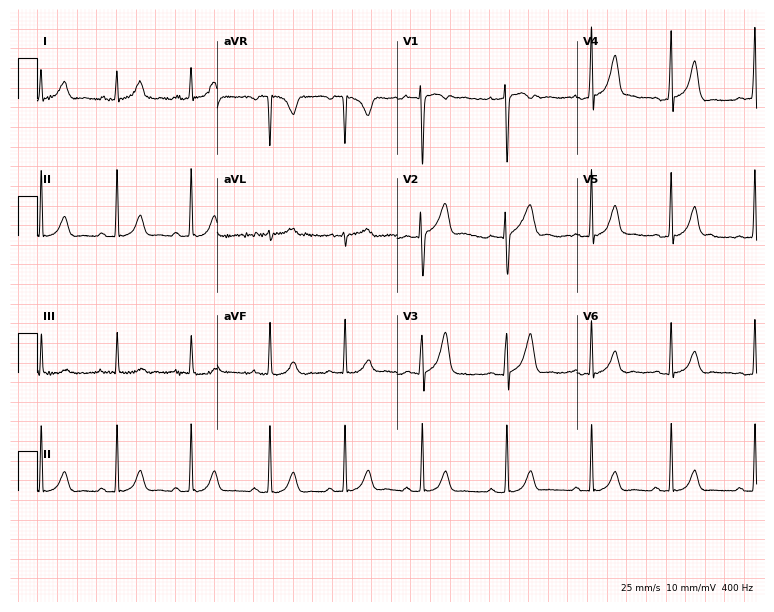
Standard 12-lead ECG recorded from a female, 26 years old. None of these six findings is recorded: first-degree AV block, right bundle branch block, left bundle branch block, sinus bradycardia, atrial fibrillation, sinus tachycardia. Only these six findings were labelled.